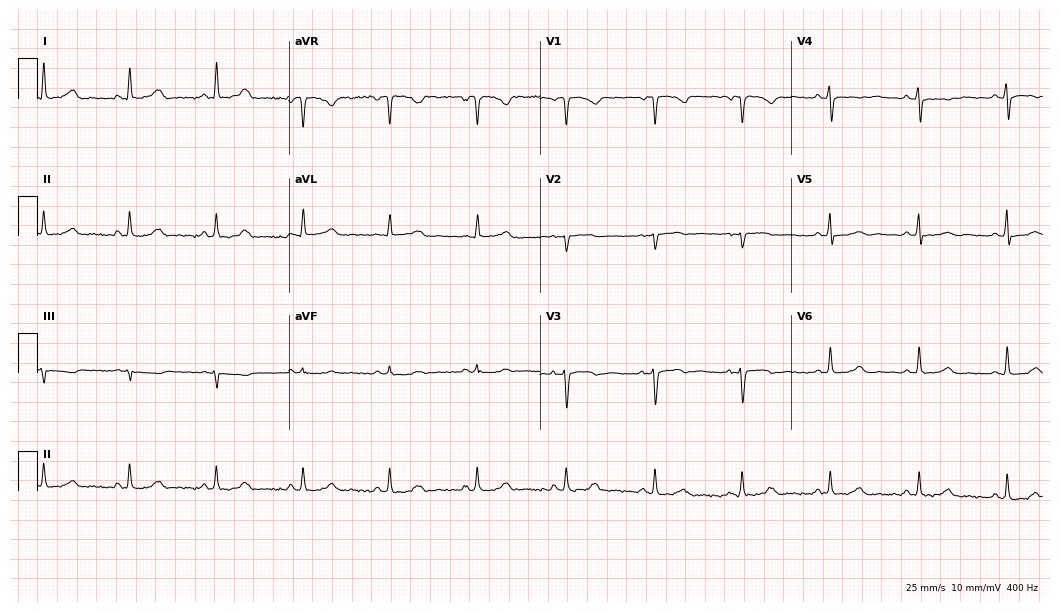
Resting 12-lead electrocardiogram (10.2-second recording at 400 Hz). Patient: a female, 47 years old. None of these six findings is recorded: first-degree AV block, right bundle branch block, left bundle branch block, sinus bradycardia, atrial fibrillation, sinus tachycardia. Other findings, if any, are not listed.